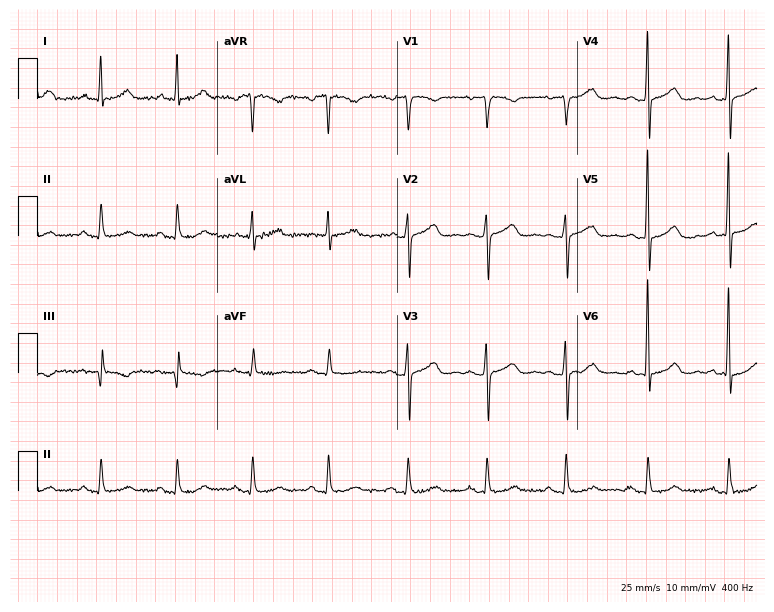
12-lead ECG from a female, 78 years old. Screened for six findings — first-degree AV block, right bundle branch block, left bundle branch block, sinus bradycardia, atrial fibrillation, sinus tachycardia — none is recorded.